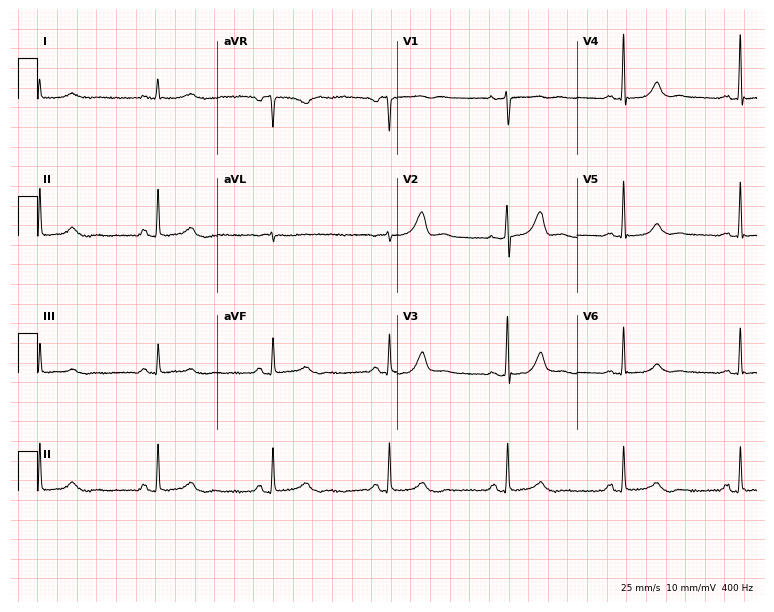
ECG — a 51-year-old female patient. Labelled as a normal ECG.